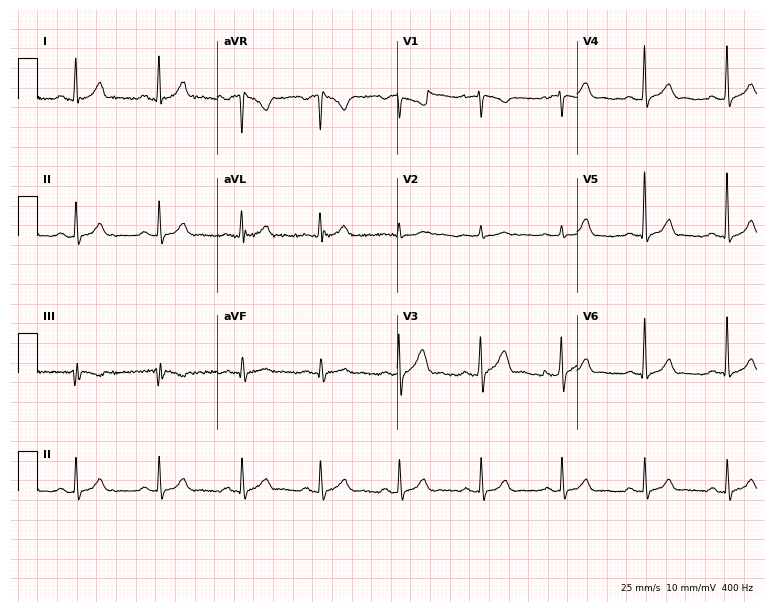
12-lead ECG from a 27-year-old male patient. Labelled as a normal ECG.